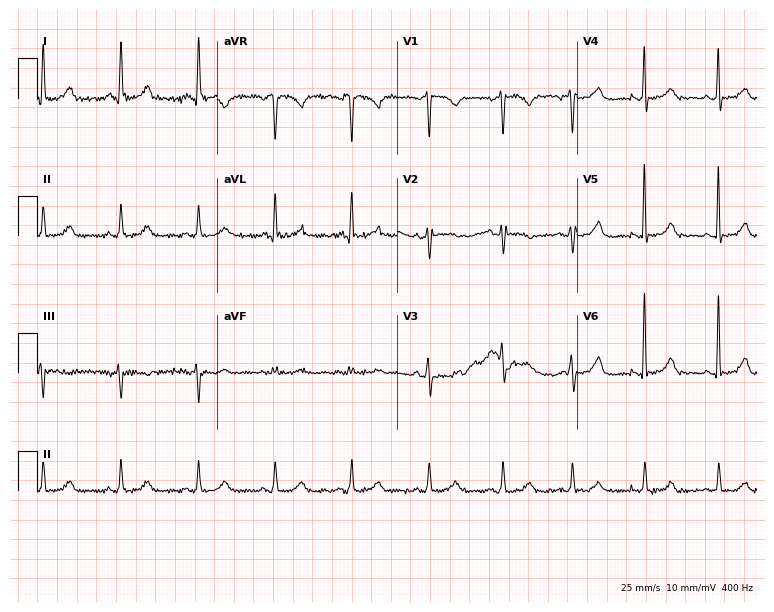
12-lead ECG from a woman, 71 years old. Recorded interpretation: within normal limits.